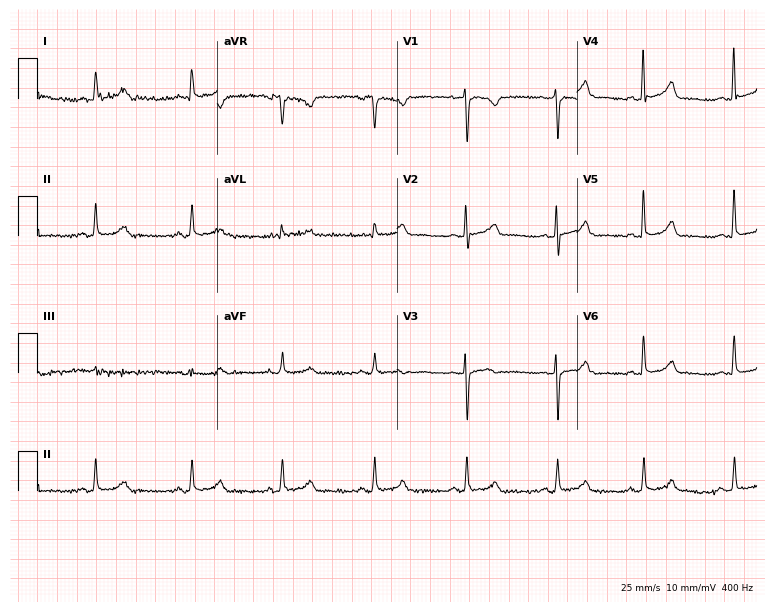
ECG — a 42-year-old female. Labelled as a normal ECG.